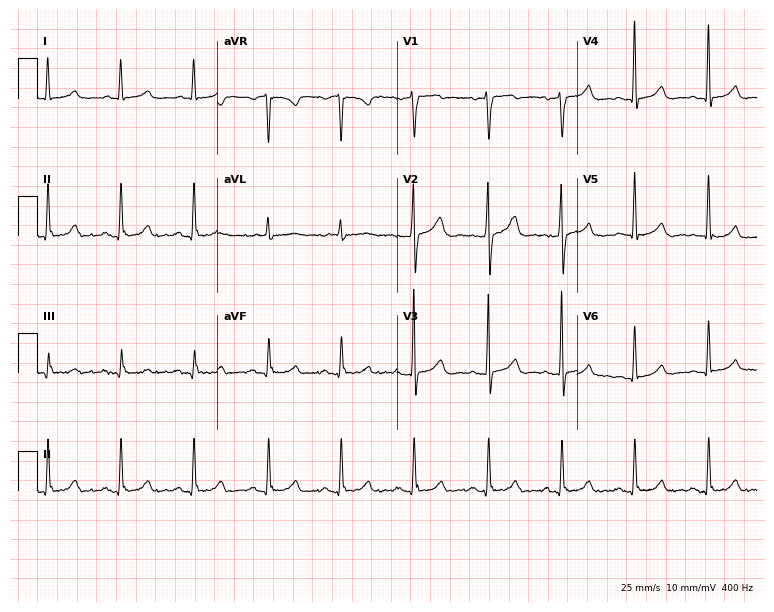
Resting 12-lead electrocardiogram. Patient: a 73-year-old woman. Read as a normal ECG.